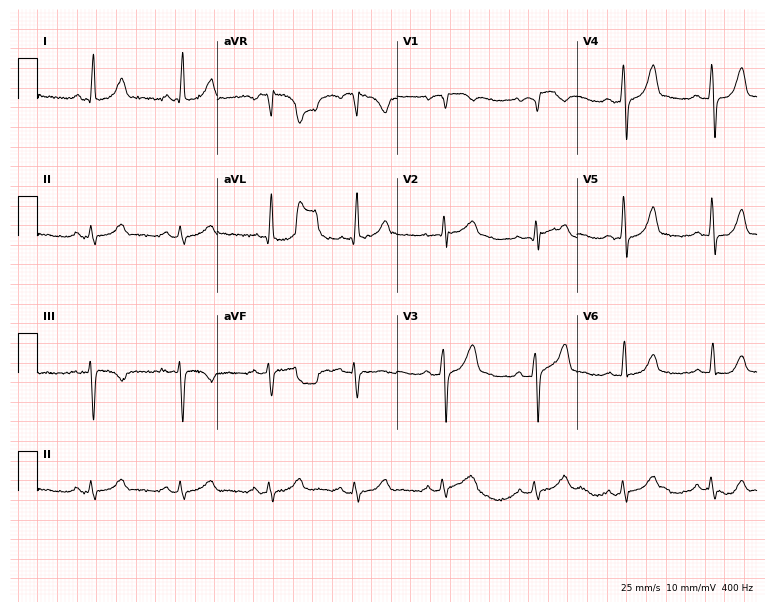
12-lead ECG from a 67-year-old man (7.3-second recording at 400 Hz). Recorded interpretation: within normal limits.